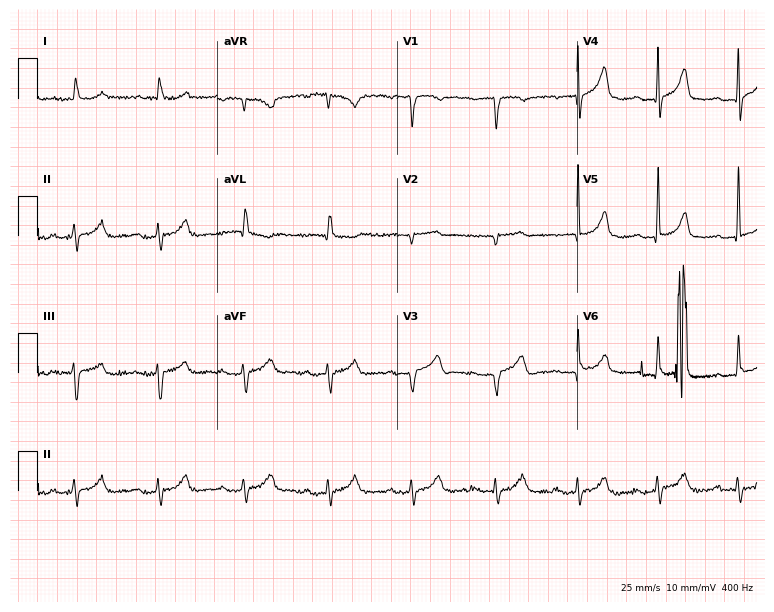
12-lead ECG from a 73-year-old man. Shows first-degree AV block.